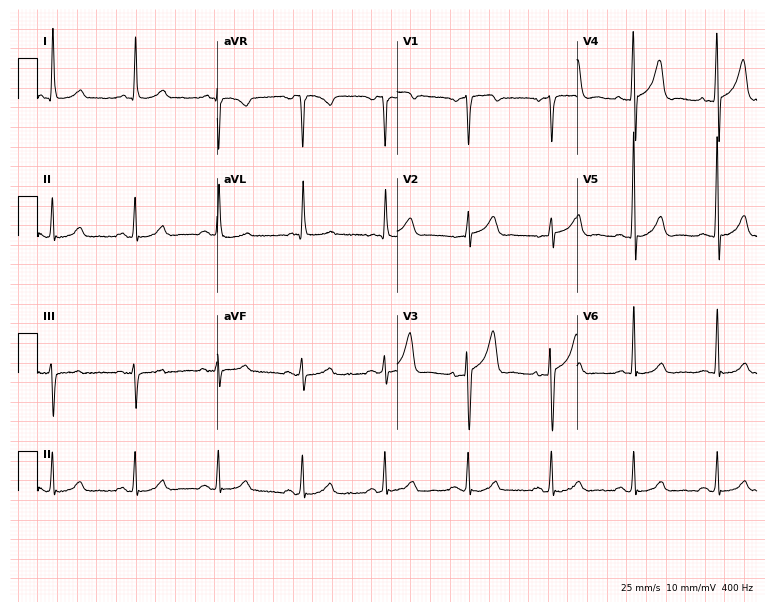
Standard 12-lead ECG recorded from a male patient, 76 years old. None of these six findings is recorded: first-degree AV block, right bundle branch block, left bundle branch block, sinus bradycardia, atrial fibrillation, sinus tachycardia. Other findings, if any, are not listed.